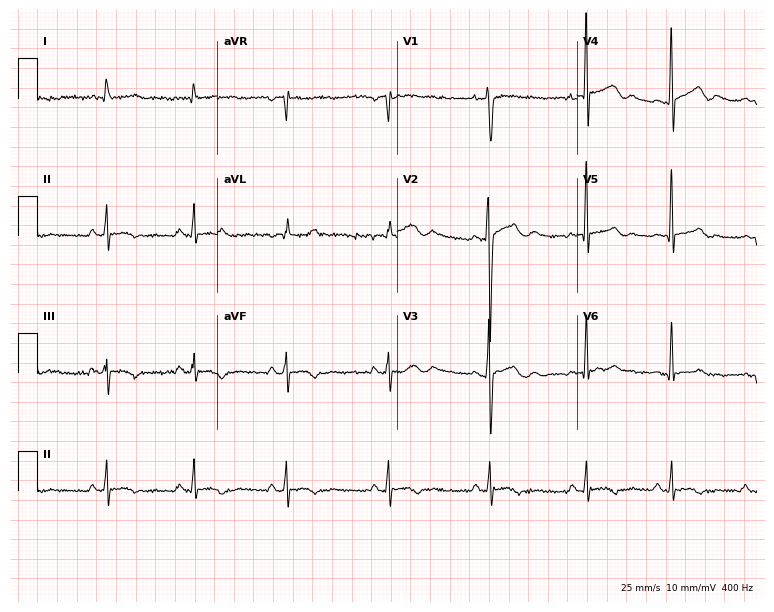
Standard 12-lead ECG recorded from a male, 20 years old (7.3-second recording at 400 Hz). None of these six findings is recorded: first-degree AV block, right bundle branch block, left bundle branch block, sinus bradycardia, atrial fibrillation, sinus tachycardia.